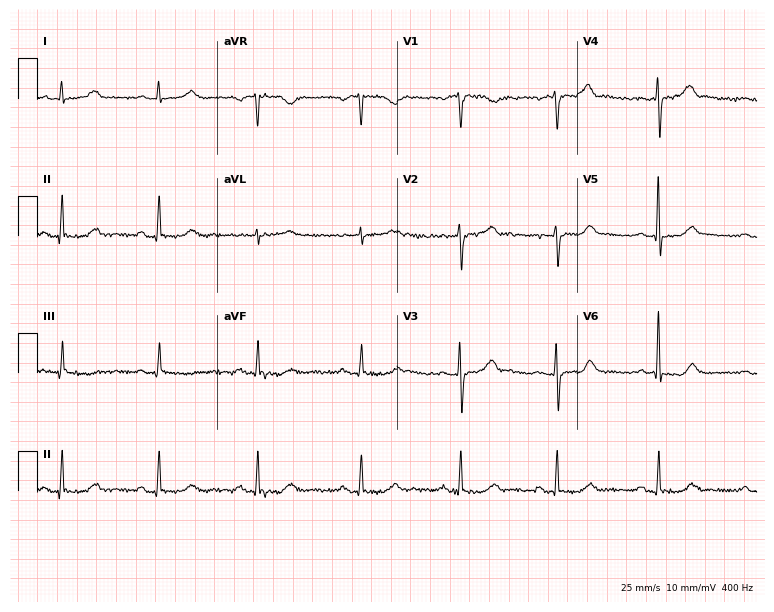
12-lead ECG from a female, 60 years old (7.3-second recording at 400 Hz). No first-degree AV block, right bundle branch block, left bundle branch block, sinus bradycardia, atrial fibrillation or sinus tachycardia recorded for this tracing.